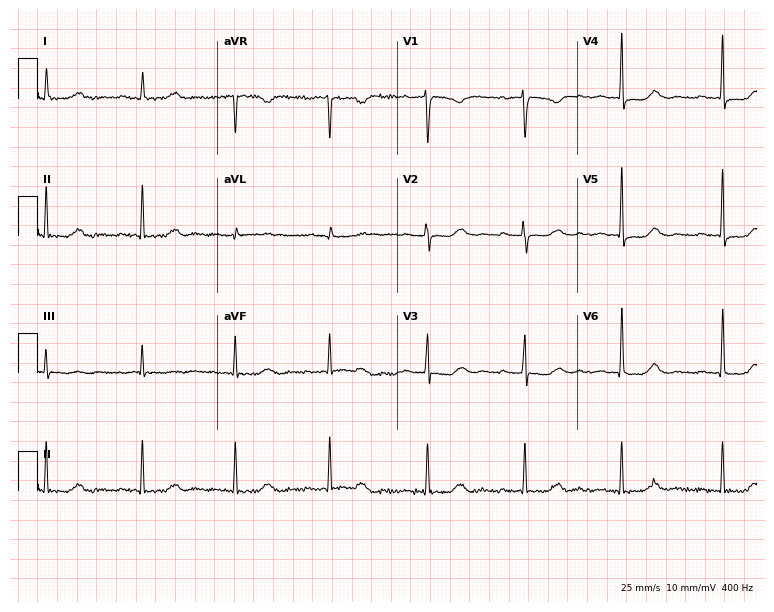
Electrocardiogram, a 62-year-old female patient. Overall reading on record: normal ECG.